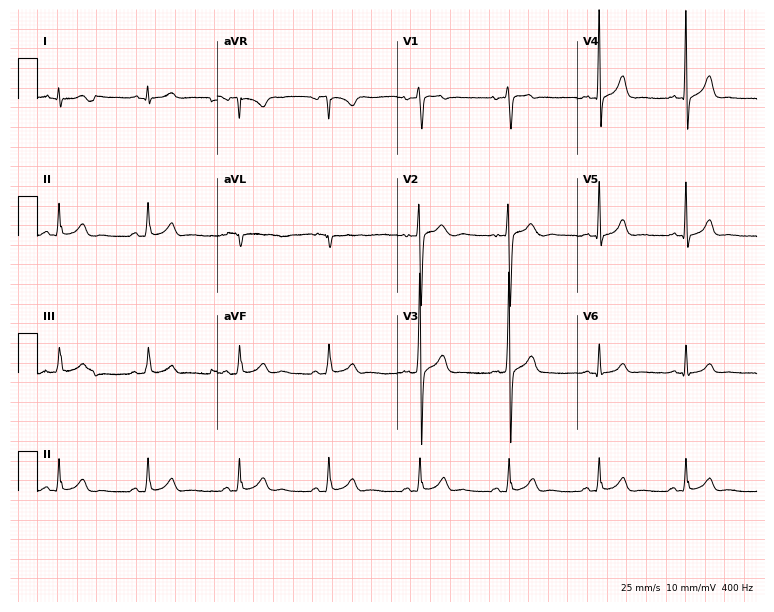
Electrocardiogram (7.3-second recording at 400 Hz), a male patient, 18 years old. Overall reading on record: normal ECG.